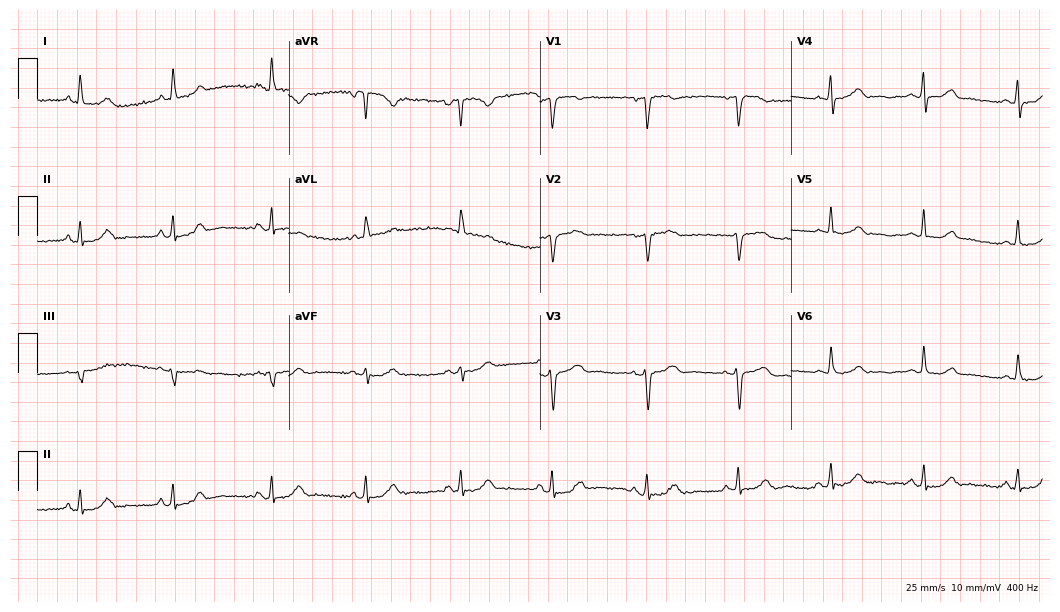
ECG (10.2-second recording at 400 Hz) — a female, 53 years old. Screened for six findings — first-degree AV block, right bundle branch block, left bundle branch block, sinus bradycardia, atrial fibrillation, sinus tachycardia — none is recorded.